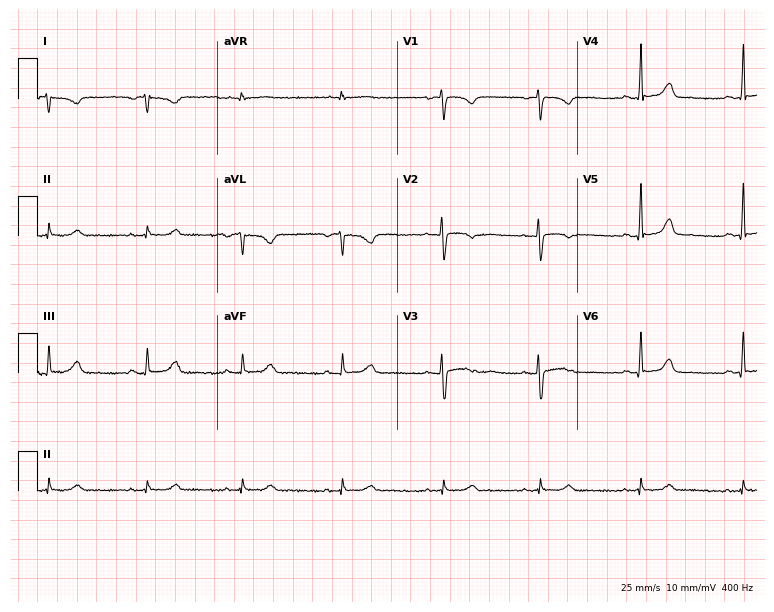
Electrocardiogram, a 32-year-old female. Overall reading on record: normal ECG.